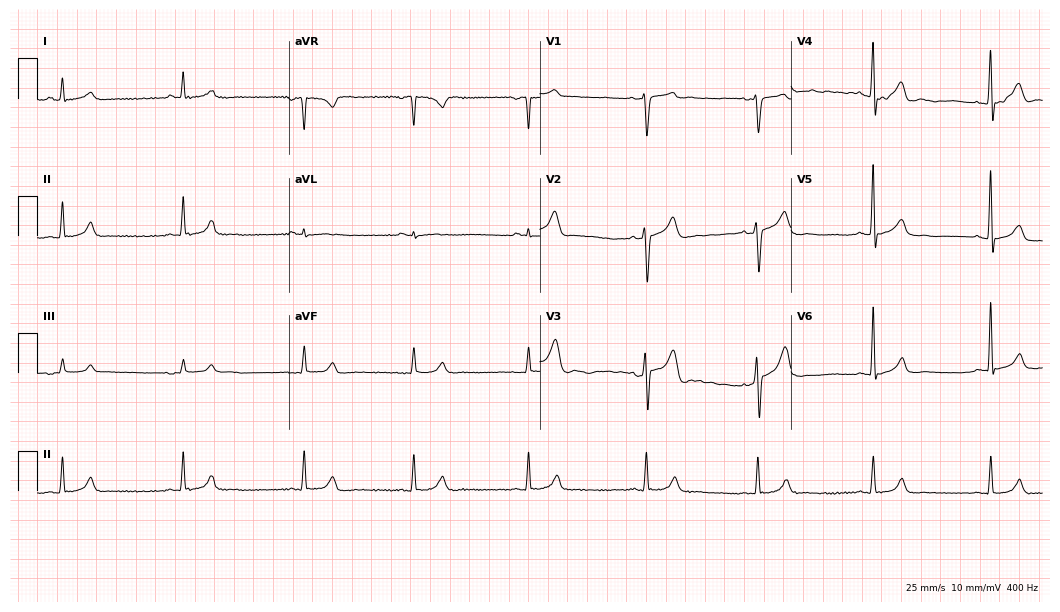
ECG — a 48-year-old male. Findings include sinus bradycardia (a sinus rate of 50 beats per minute or less).